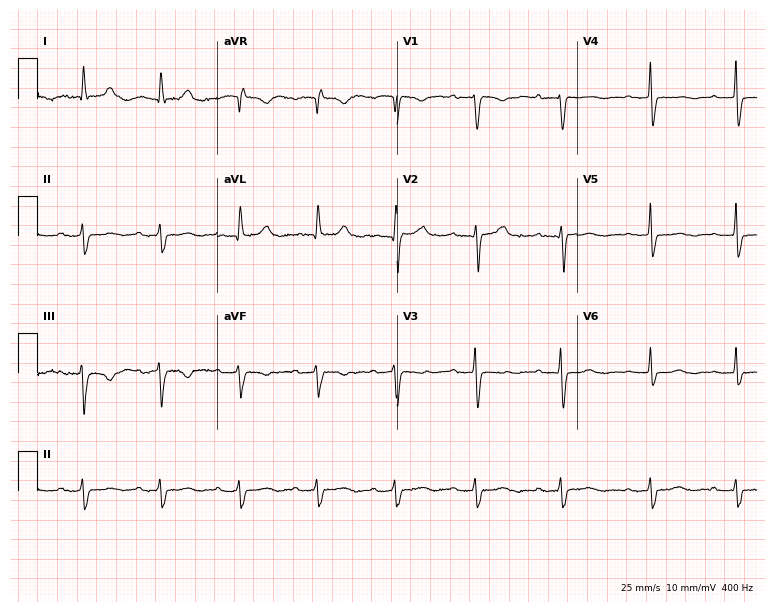
Resting 12-lead electrocardiogram. Patient: a woman, 82 years old. None of these six findings is recorded: first-degree AV block, right bundle branch block, left bundle branch block, sinus bradycardia, atrial fibrillation, sinus tachycardia. Other findings, if any, are not listed.